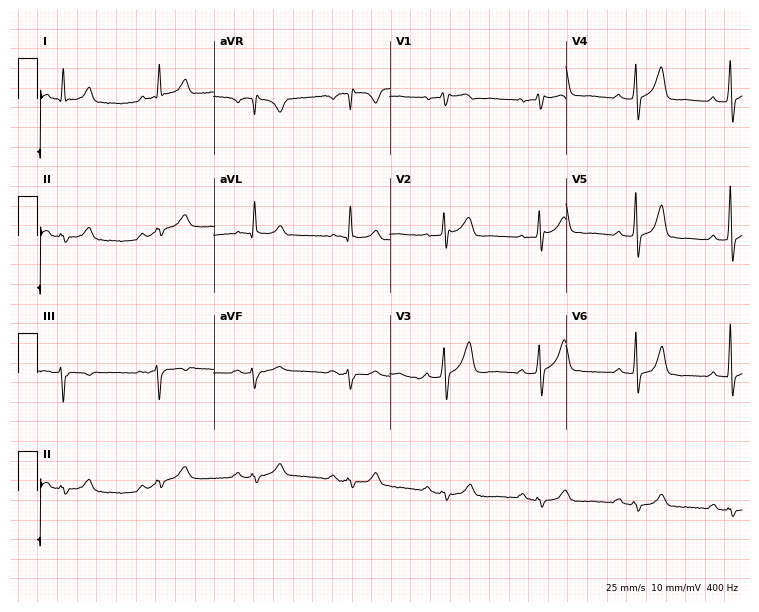
ECG — a man, 69 years old. Screened for six findings — first-degree AV block, right bundle branch block (RBBB), left bundle branch block (LBBB), sinus bradycardia, atrial fibrillation (AF), sinus tachycardia — none is recorded.